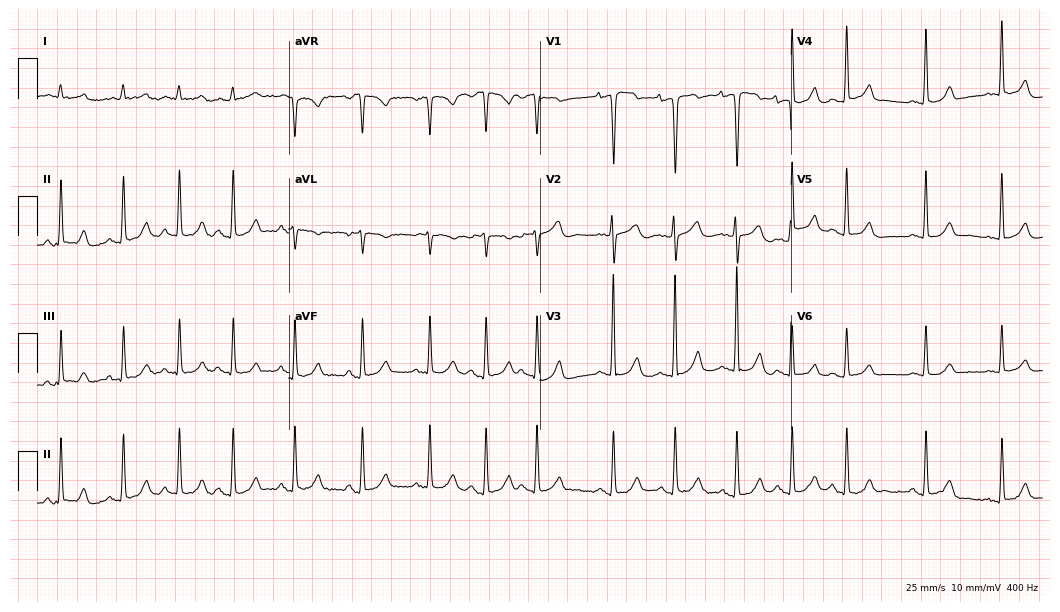
ECG (10.2-second recording at 400 Hz) — an 84-year-old female. Screened for six findings — first-degree AV block, right bundle branch block, left bundle branch block, sinus bradycardia, atrial fibrillation, sinus tachycardia — none is recorded.